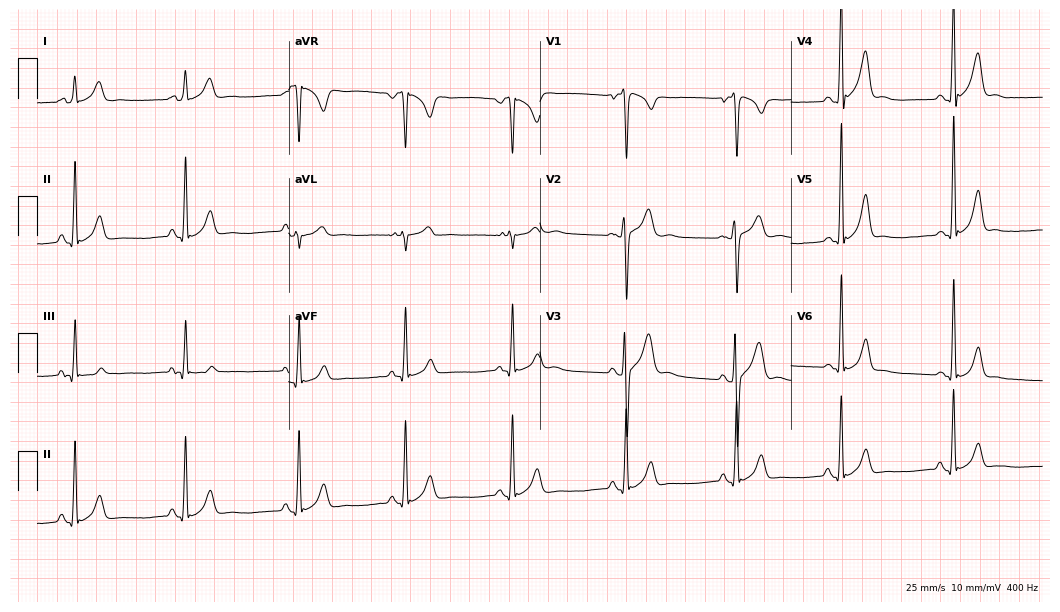
Electrocardiogram (10.2-second recording at 400 Hz), a man, 18 years old. Overall reading on record: normal ECG.